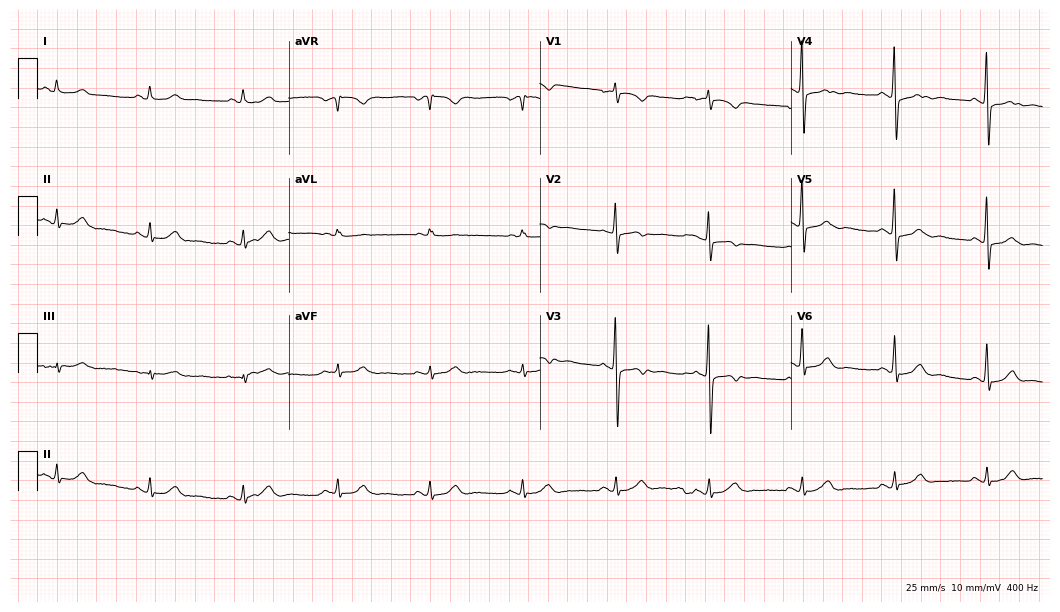
ECG (10.2-second recording at 400 Hz) — a female patient, 73 years old. Labelled as a normal ECG.